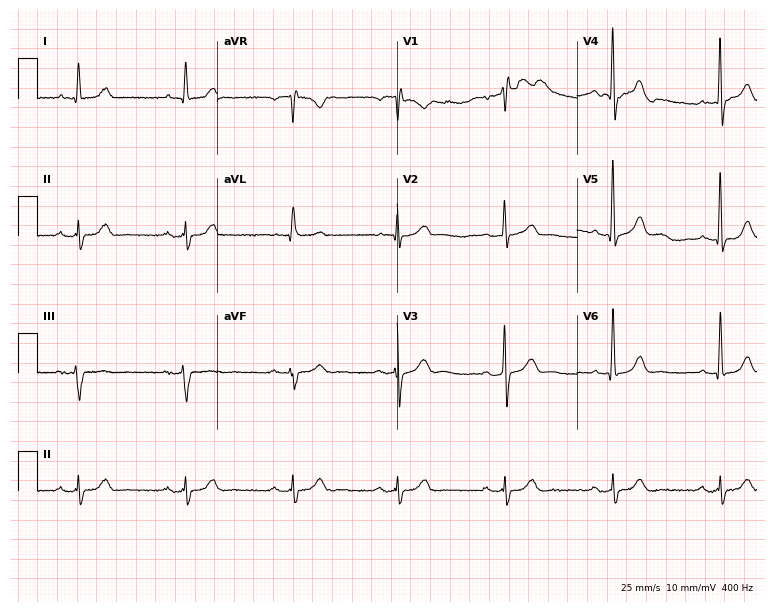
Standard 12-lead ECG recorded from a 78-year-old man. None of these six findings is recorded: first-degree AV block, right bundle branch block (RBBB), left bundle branch block (LBBB), sinus bradycardia, atrial fibrillation (AF), sinus tachycardia. Findings outside these six are not listed.